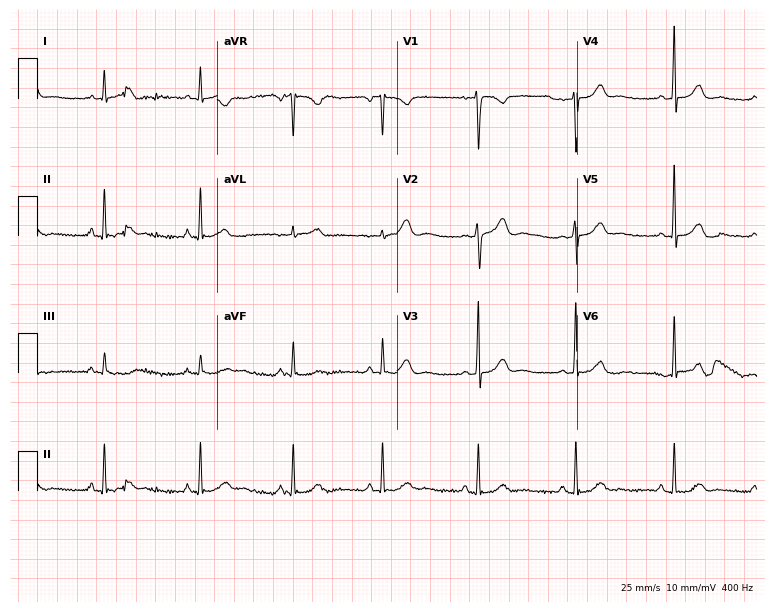
12-lead ECG (7.3-second recording at 400 Hz) from a woman, 31 years old. Labelled as a normal ECG.